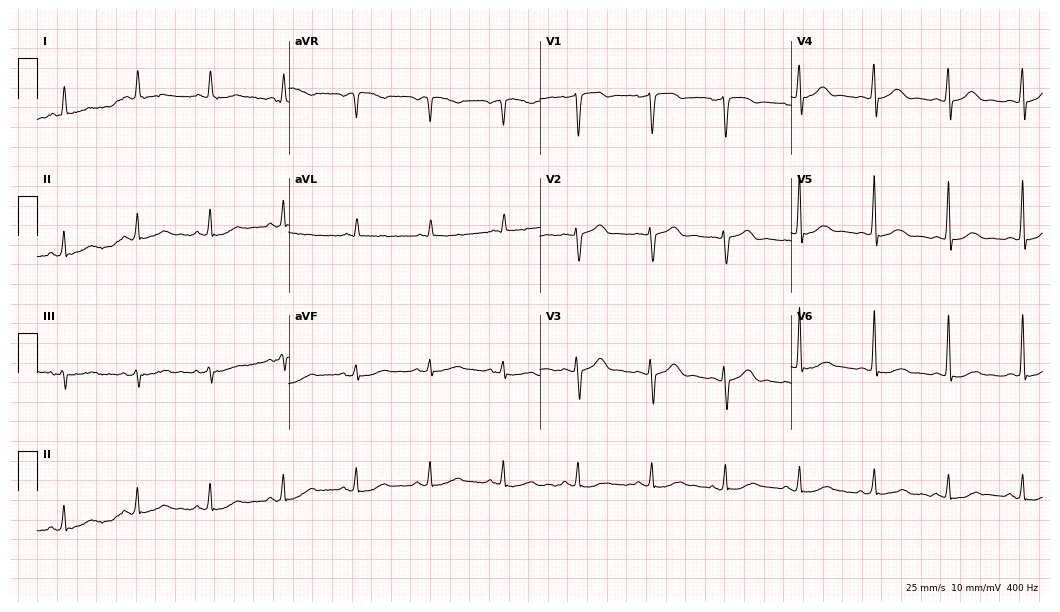
Electrocardiogram (10.2-second recording at 400 Hz), a 79-year-old male. Overall reading on record: normal ECG.